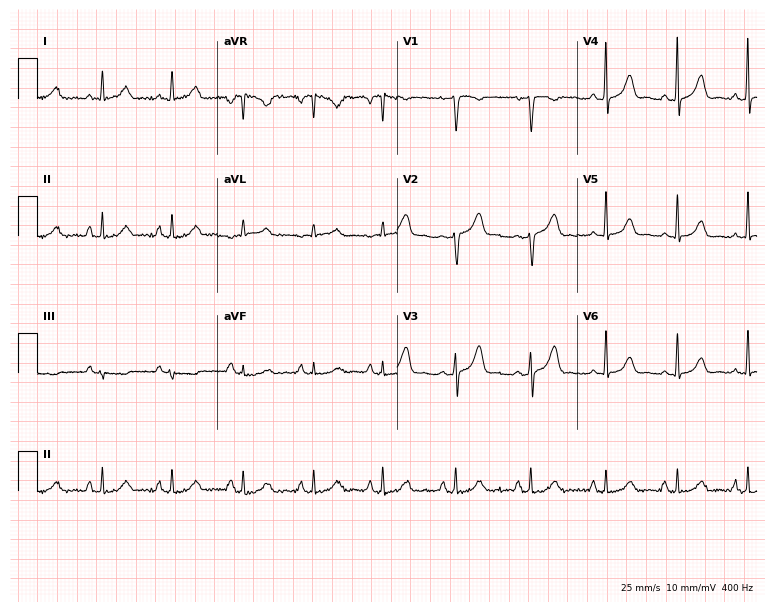
Resting 12-lead electrocardiogram. Patient: a female, 50 years old. None of these six findings is recorded: first-degree AV block, right bundle branch block (RBBB), left bundle branch block (LBBB), sinus bradycardia, atrial fibrillation (AF), sinus tachycardia. Only these six findings were labelled.